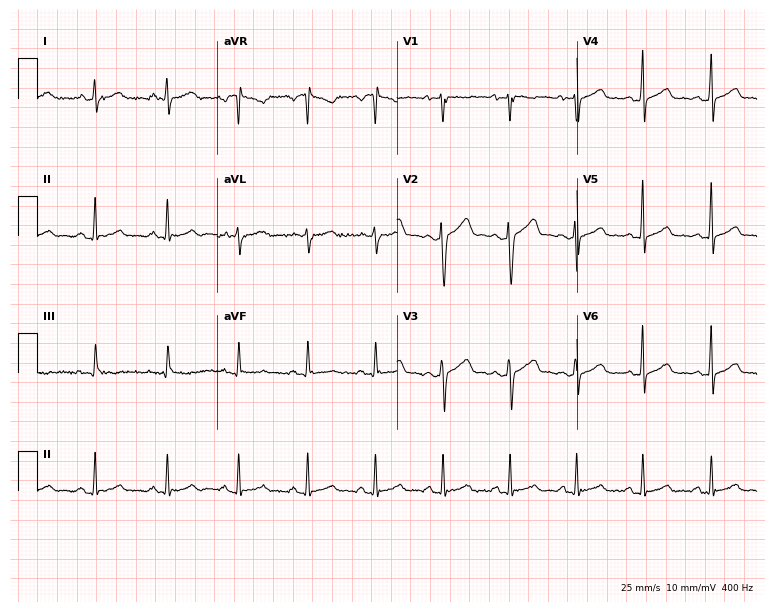
ECG — a 30-year-old male. Labelled as a normal ECG.